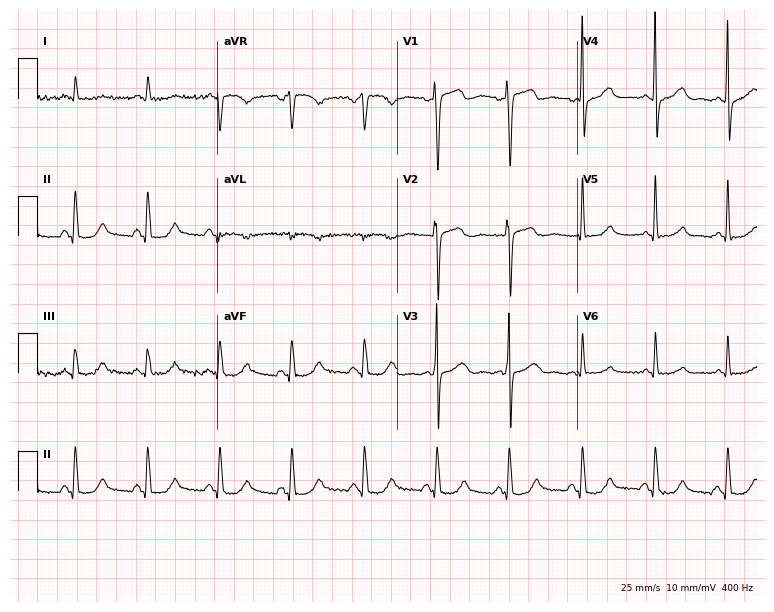
Resting 12-lead electrocardiogram (7.3-second recording at 400 Hz). Patient: a male, 71 years old. Read as a normal ECG.